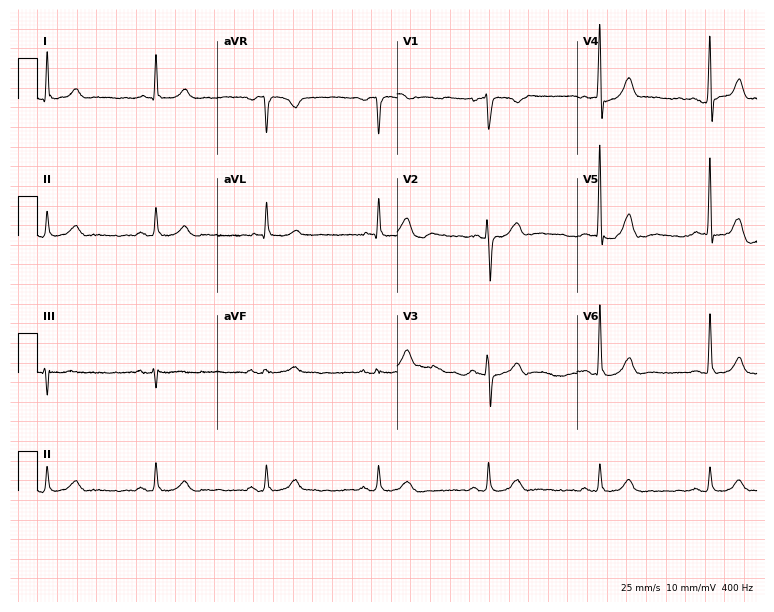
Electrocardiogram (7.3-second recording at 400 Hz), a 77-year-old man. Overall reading on record: normal ECG.